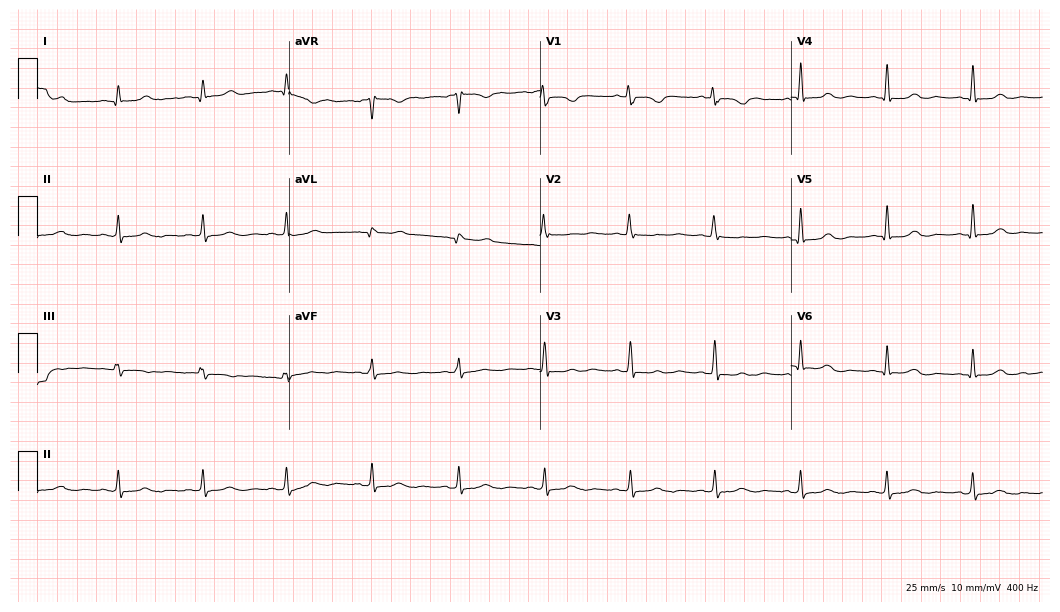
ECG — a 73-year-old woman. Labelled as a normal ECG.